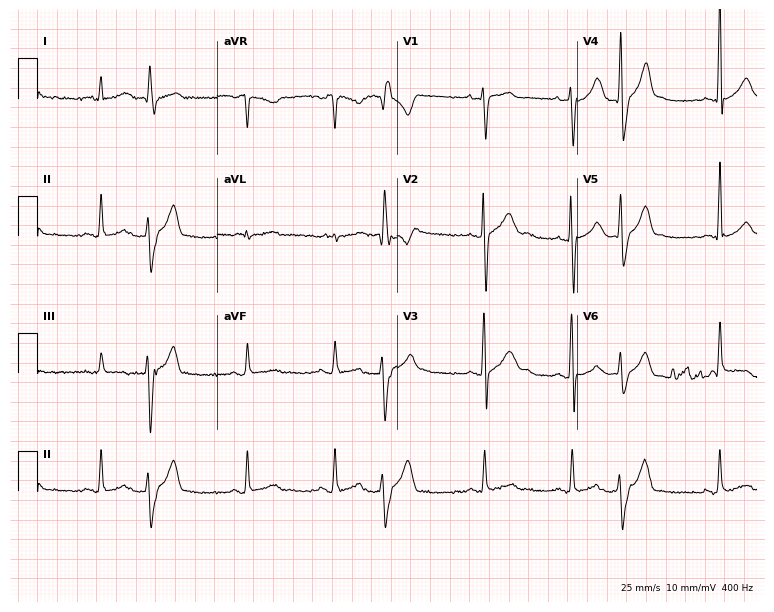
Standard 12-lead ECG recorded from a 36-year-old man. None of these six findings is recorded: first-degree AV block, right bundle branch block (RBBB), left bundle branch block (LBBB), sinus bradycardia, atrial fibrillation (AF), sinus tachycardia. Only these six findings were labelled.